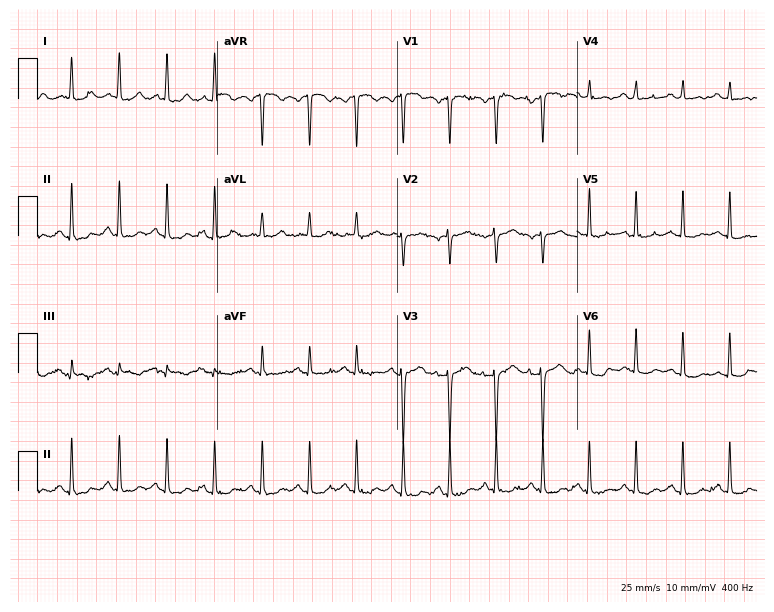
Electrocardiogram (7.3-second recording at 400 Hz), a 52-year-old male patient. Interpretation includes sinus tachycardia (a sinus rate of 100 beats per minute or more).